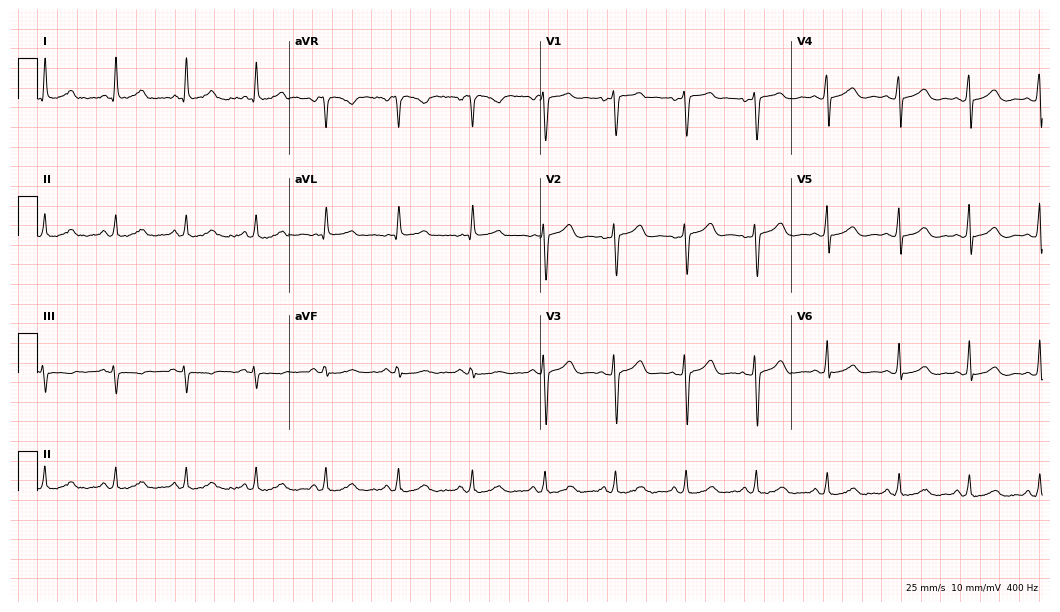
Standard 12-lead ECG recorded from a female patient, 37 years old. Read as a normal ECG.